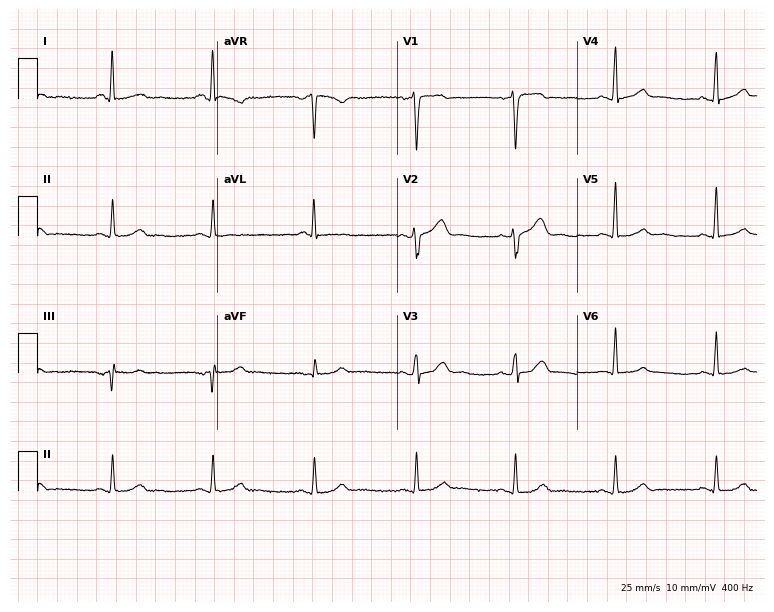
12-lead ECG (7.3-second recording at 400 Hz) from a 57-year-old man. Screened for six findings — first-degree AV block, right bundle branch block, left bundle branch block, sinus bradycardia, atrial fibrillation, sinus tachycardia — none is recorded. Other findings, if any, are not listed.